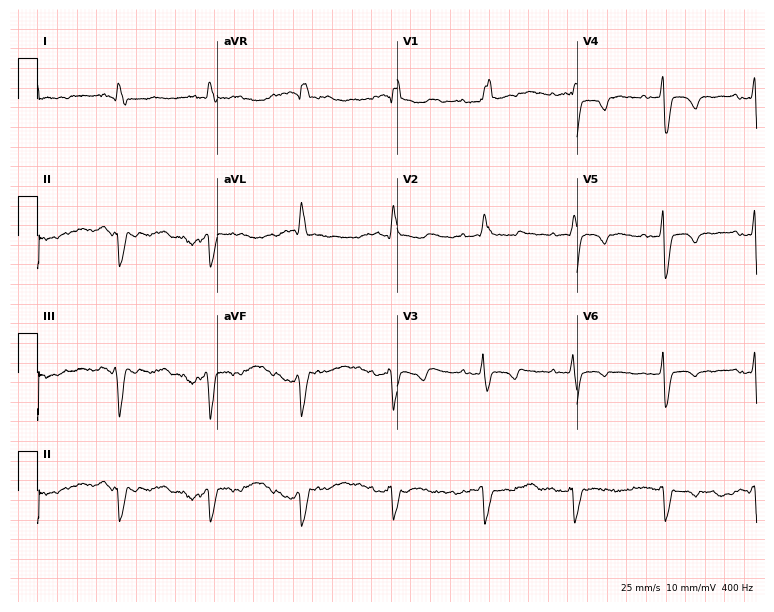
12-lead ECG from a female, 72 years old. Shows right bundle branch block (RBBB), left bundle branch block (LBBB).